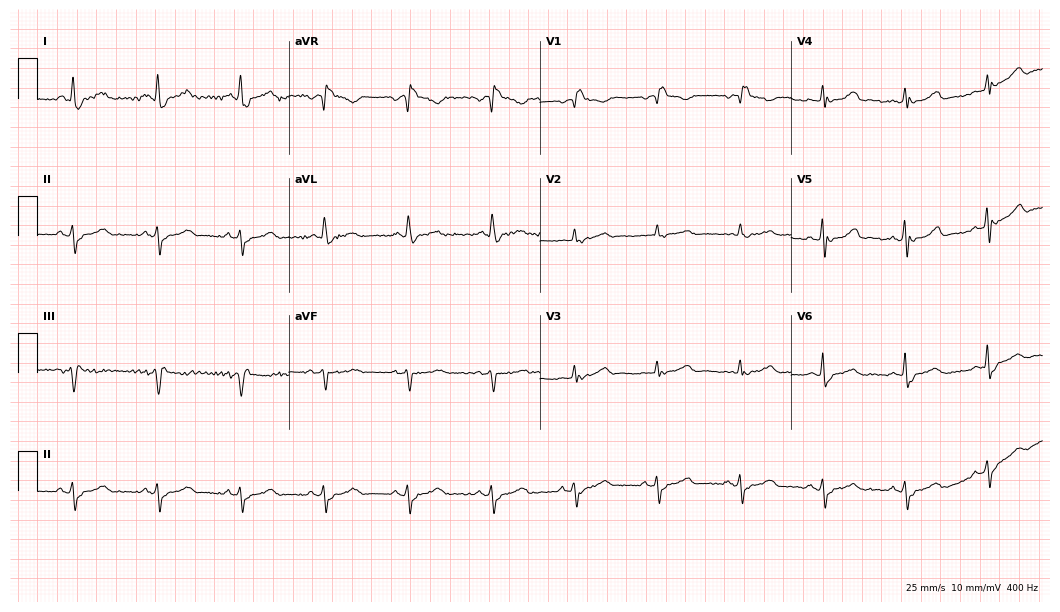
Standard 12-lead ECG recorded from a female patient, 82 years old (10.2-second recording at 400 Hz). The tracing shows right bundle branch block.